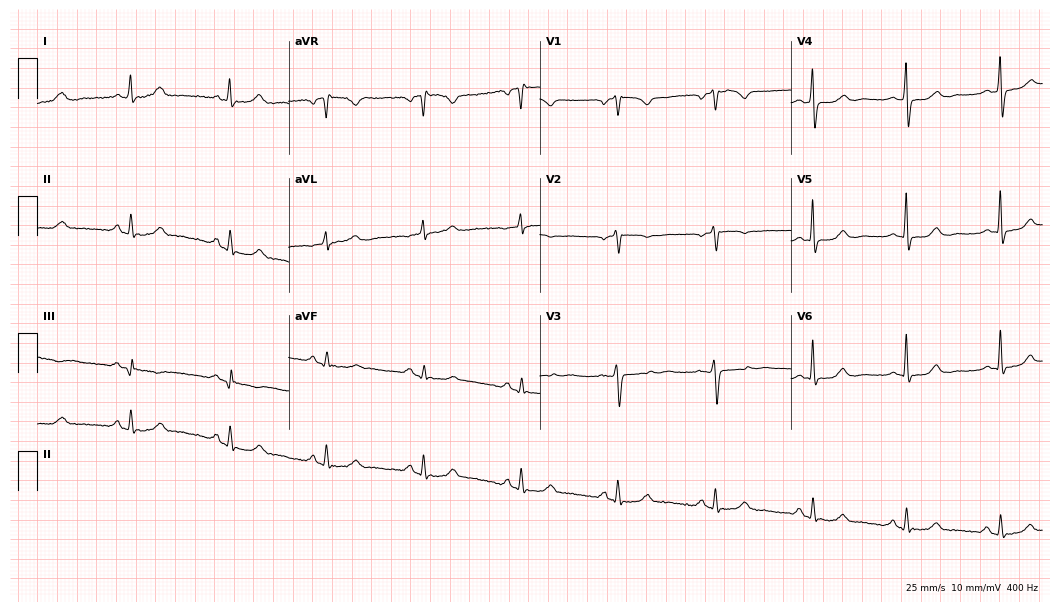
Standard 12-lead ECG recorded from a woman, 58 years old (10.2-second recording at 400 Hz). None of these six findings is recorded: first-degree AV block, right bundle branch block, left bundle branch block, sinus bradycardia, atrial fibrillation, sinus tachycardia. Findings outside these six are not listed.